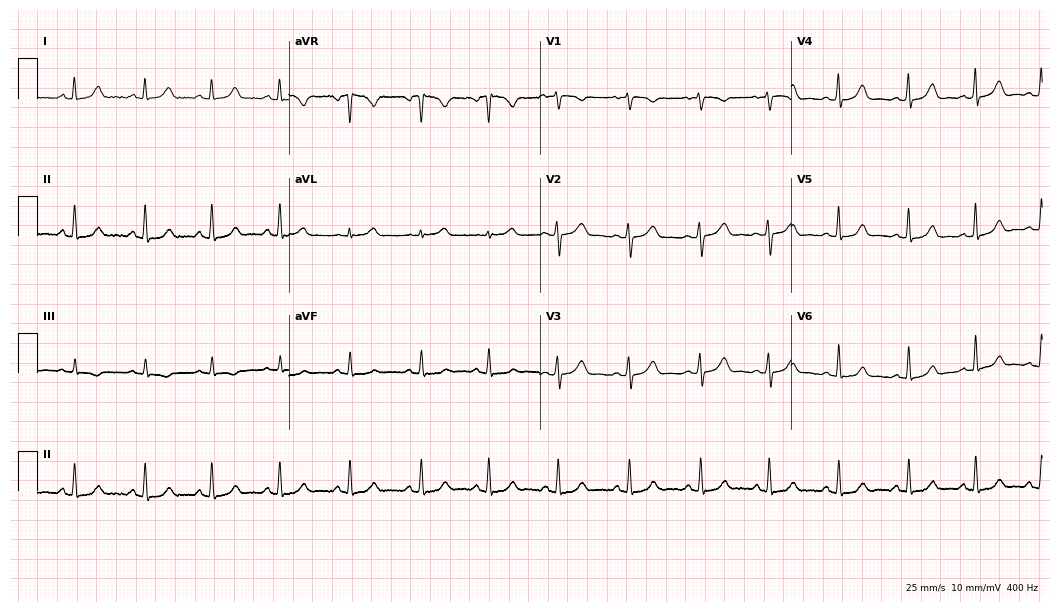
Electrocardiogram, a female, 20 years old. Overall reading on record: normal ECG.